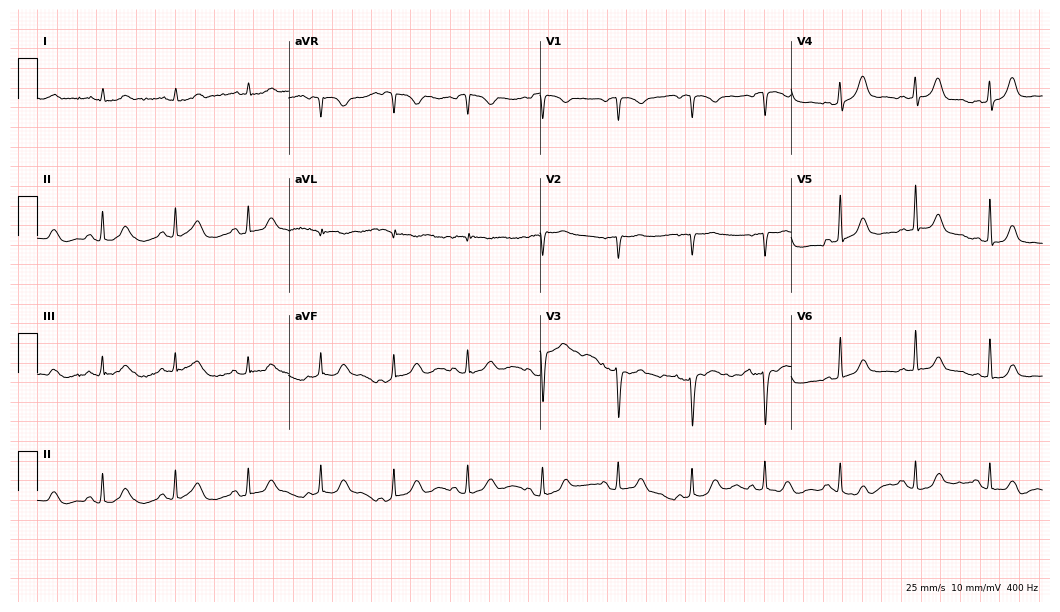
12-lead ECG from a female, 69 years old (10.2-second recording at 400 Hz). No first-degree AV block, right bundle branch block (RBBB), left bundle branch block (LBBB), sinus bradycardia, atrial fibrillation (AF) or sinus tachycardia recorded for this tracing. Findings outside these six are not listed.